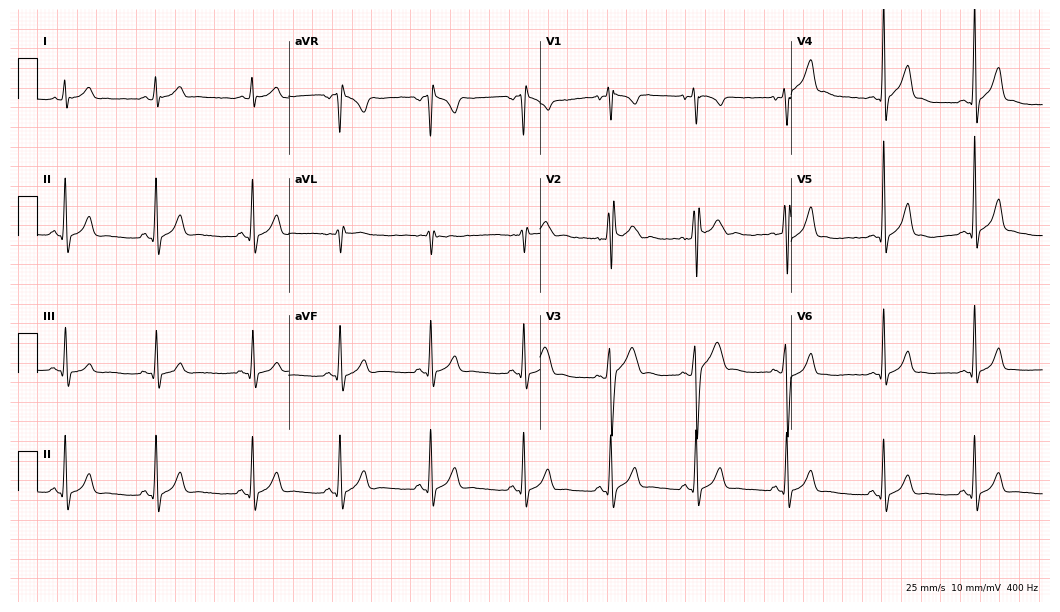
12-lead ECG (10.2-second recording at 400 Hz) from a 17-year-old male patient. Labelled as a normal ECG.